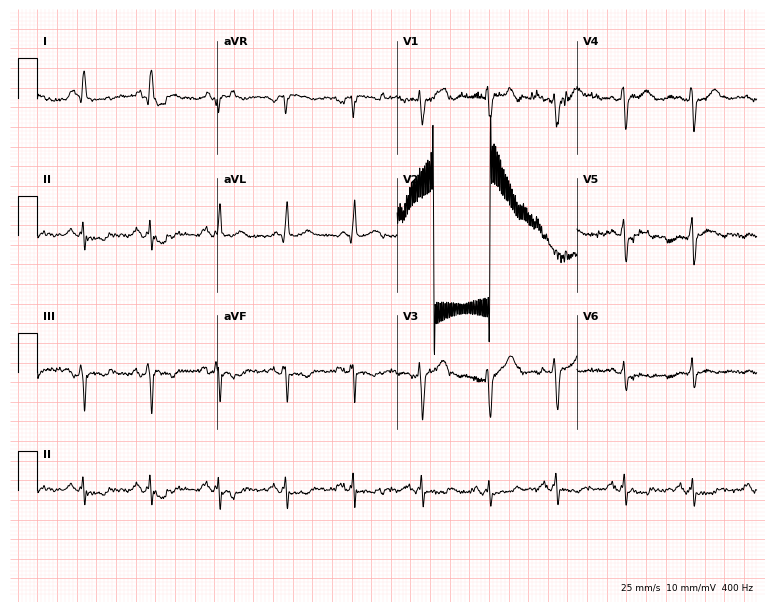
12-lead ECG from a male patient, 80 years old. Screened for six findings — first-degree AV block, right bundle branch block (RBBB), left bundle branch block (LBBB), sinus bradycardia, atrial fibrillation (AF), sinus tachycardia — none is recorded.